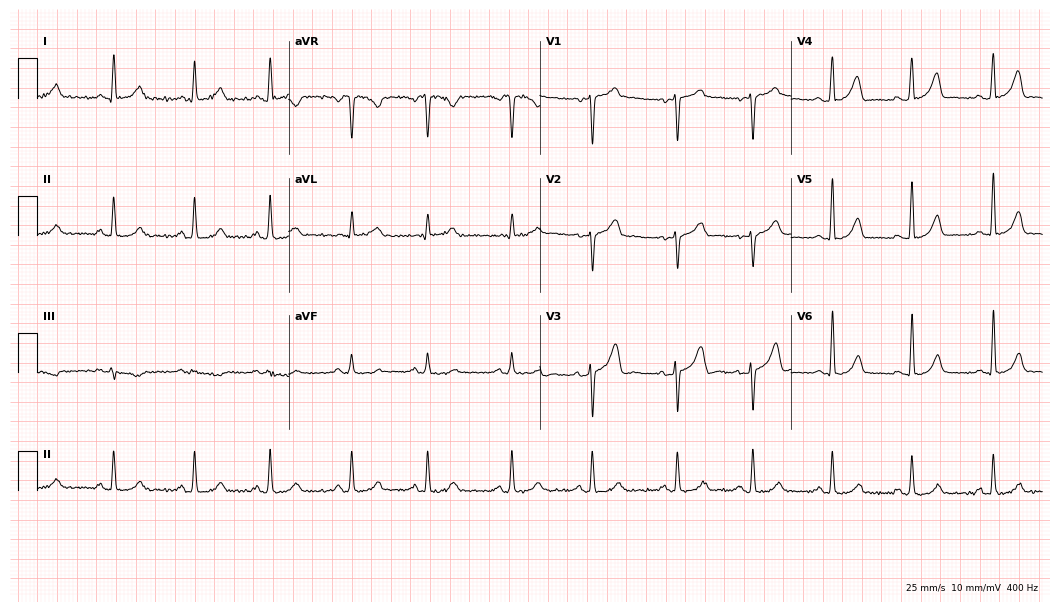
Resting 12-lead electrocardiogram. Patient: a 33-year-old man. Read as a normal ECG.